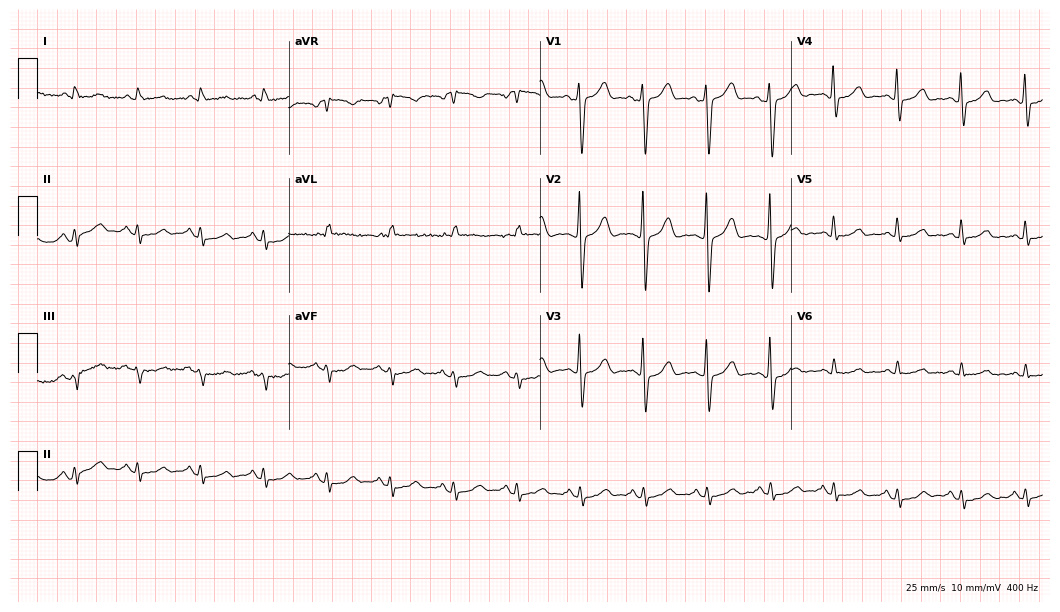
12-lead ECG from a 76-year-old man. Recorded interpretation: within normal limits.